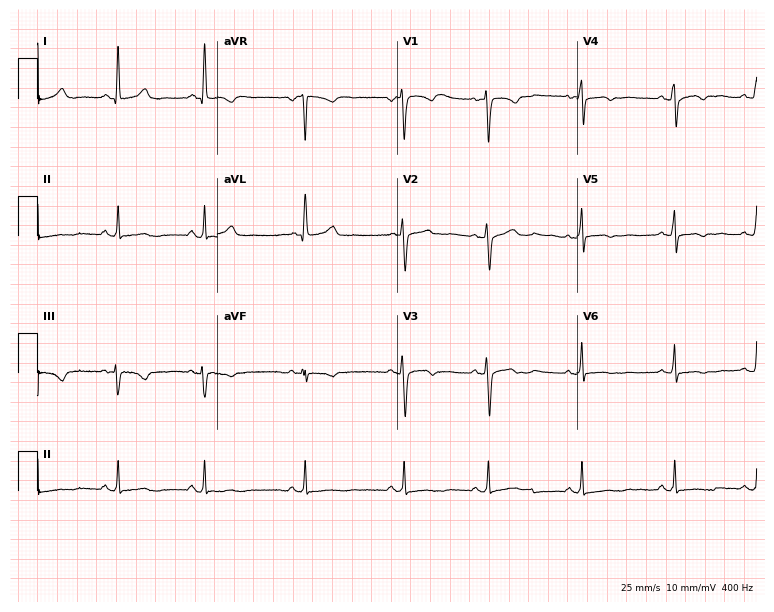
12-lead ECG (7.3-second recording at 400 Hz) from a female patient, 35 years old. Screened for six findings — first-degree AV block, right bundle branch block (RBBB), left bundle branch block (LBBB), sinus bradycardia, atrial fibrillation (AF), sinus tachycardia — none is recorded.